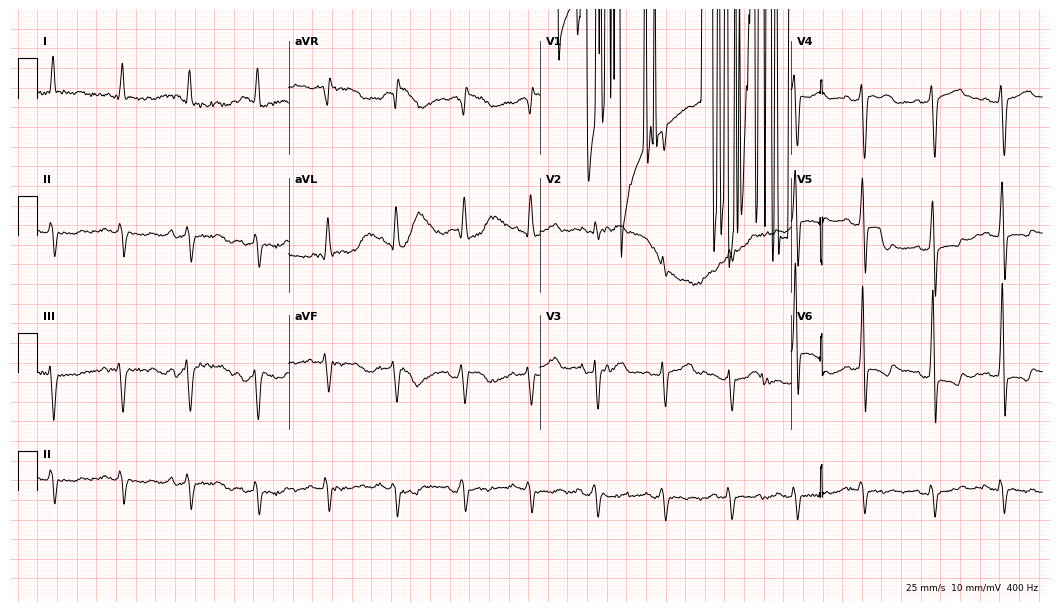
Electrocardiogram (10.2-second recording at 400 Hz), a 66-year-old male patient. Of the six screened findings (first-degree AV block, right bundle branch block (RBBB), left bundle branch block (LBBB), sinus bradycardia, atrial fibrillation (AF), sinus tachycardia), none is recorded. Only these six findings were labelled.